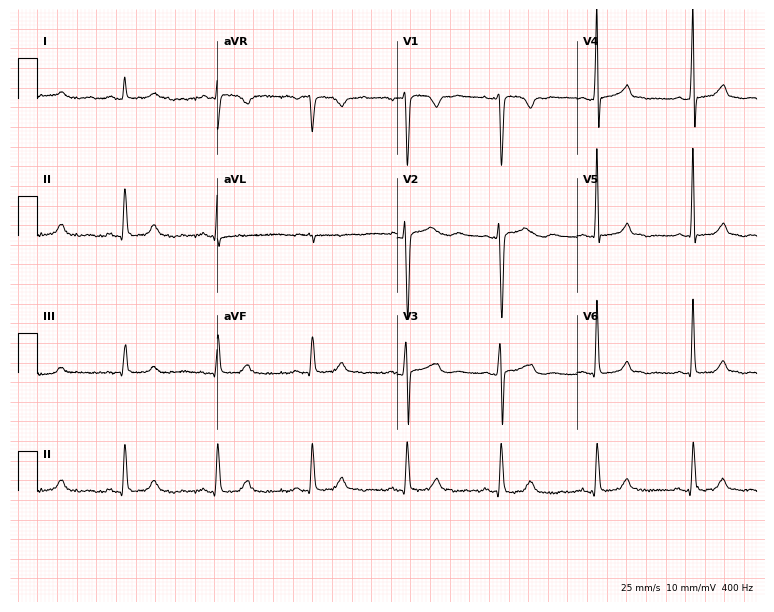
12-lead ECG (7.3-second recording at 400 Hz) from a female, 49 years old. Labelled as a normal ECG.